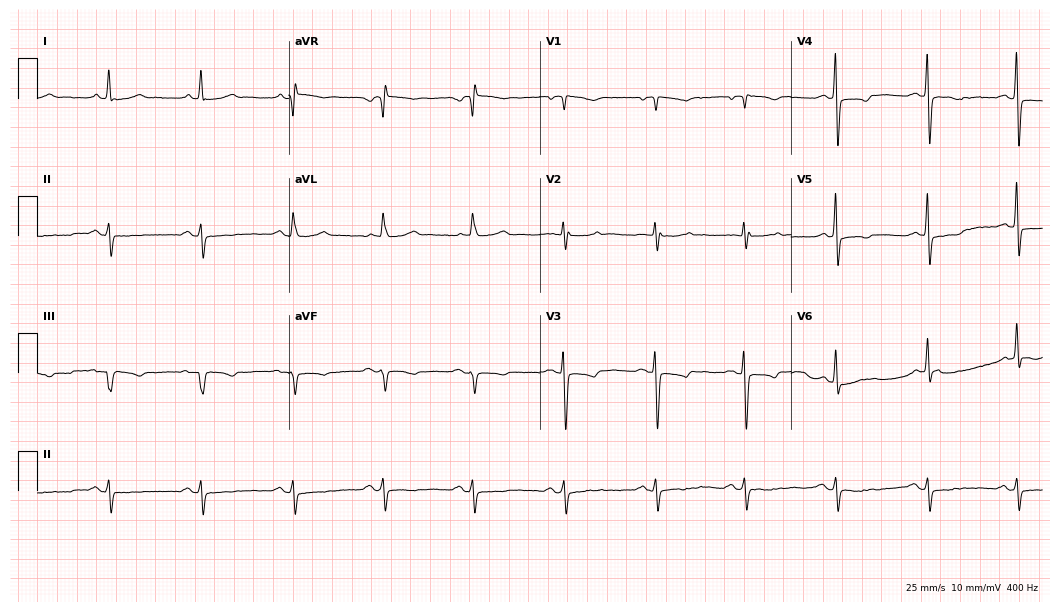
ECG (10.2-second recording at 400 Hz) — a 69-year-old female patient. Screened for six findings — first-degree AV block, right bundle branch block, left bundle branch block, sinus bradycardia, atrial fibrillation, sinus tachycardia — none is recorded. Findings outside these six are not listed.